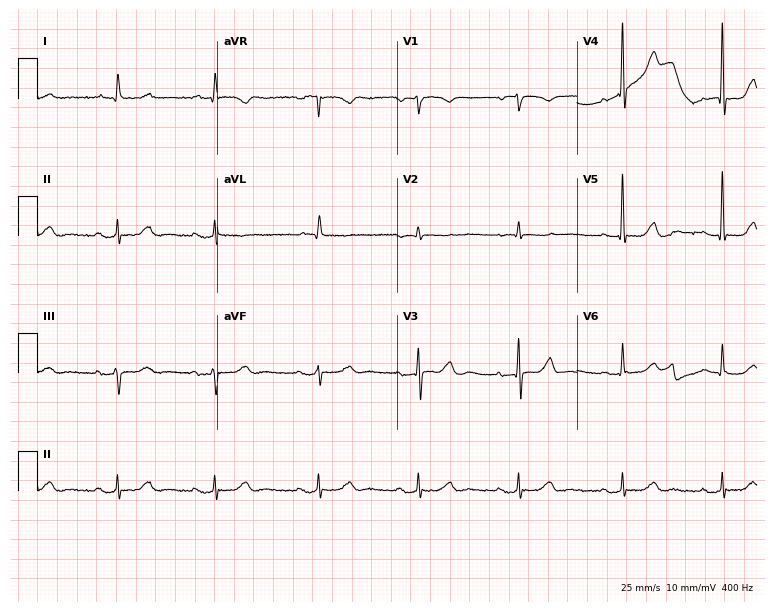
Electrocardiogram, a woman, 84 years old. Interpretation includes first-degree AV block.